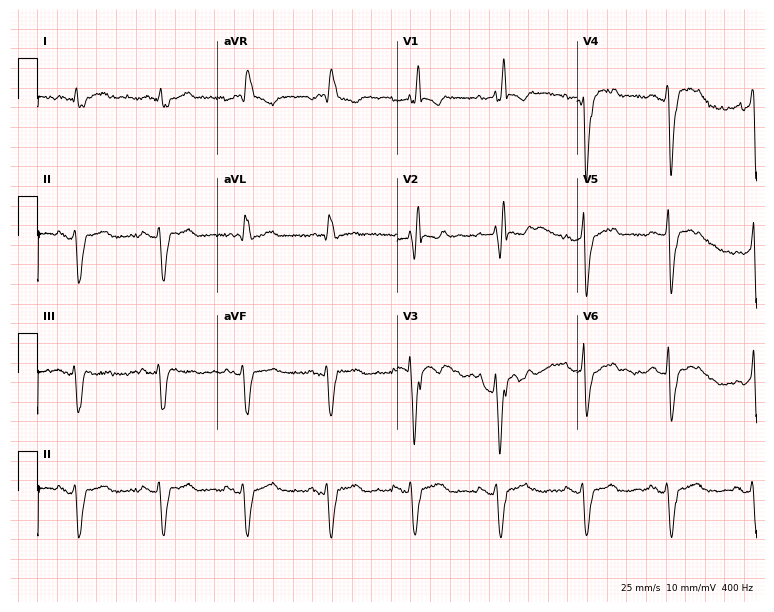
Resting 12-lead electrocardiogram. Patient: a male, 69 years old. The tracing shows right bundle branch block.